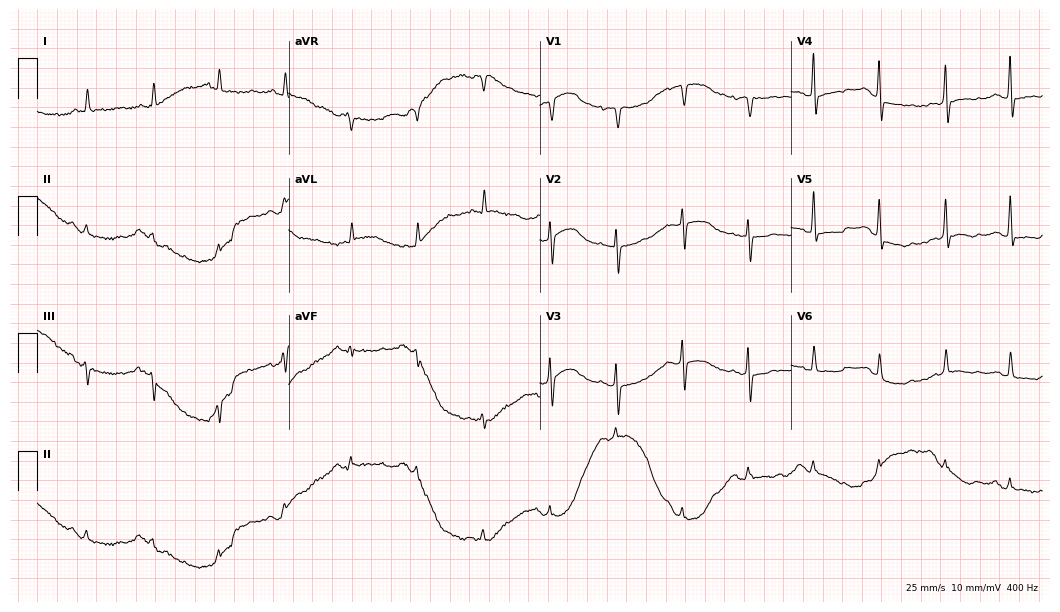
Electrocardiogram (10.2-second recording at 400 Hz), a man, 83 years old. Of the six screened findings (first-degree AV block, right bundle branch block, left bundle branch block, sinus bradycardia, atrial fibrillation, sinus tachycardia), none is recorded. Findings outside these six are not listed.